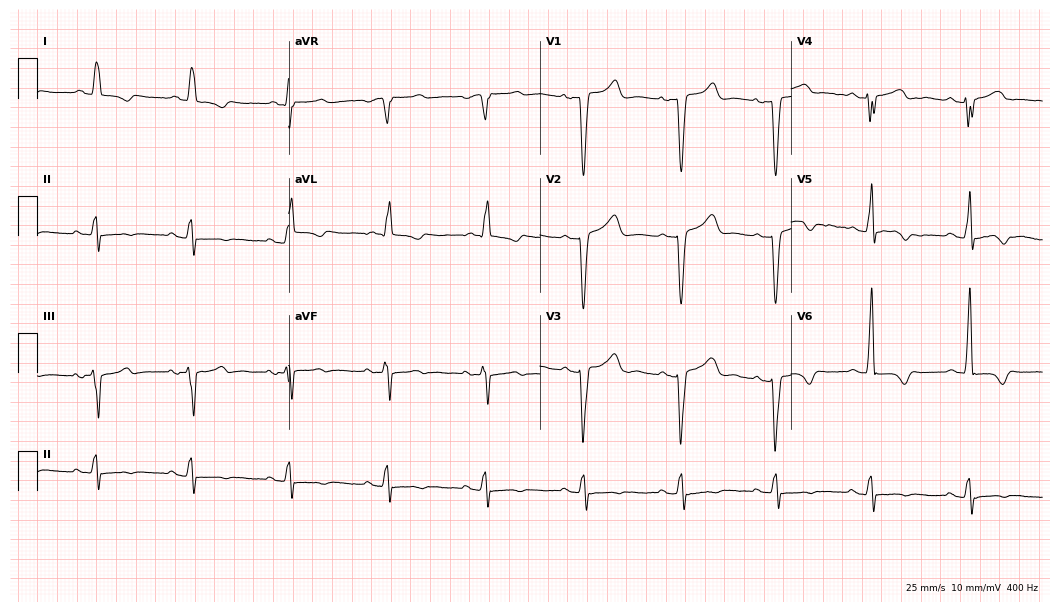
12-lead ECG from a 67-year-old female (10.2-second recording at 400 Hz). No first-degree AV block, right bundle branch block, left bundle branch block, sinus bradycardia, atrial fibrillation or sinus tachycardia recorded for this tracing. Other findings, if any, are not listed.